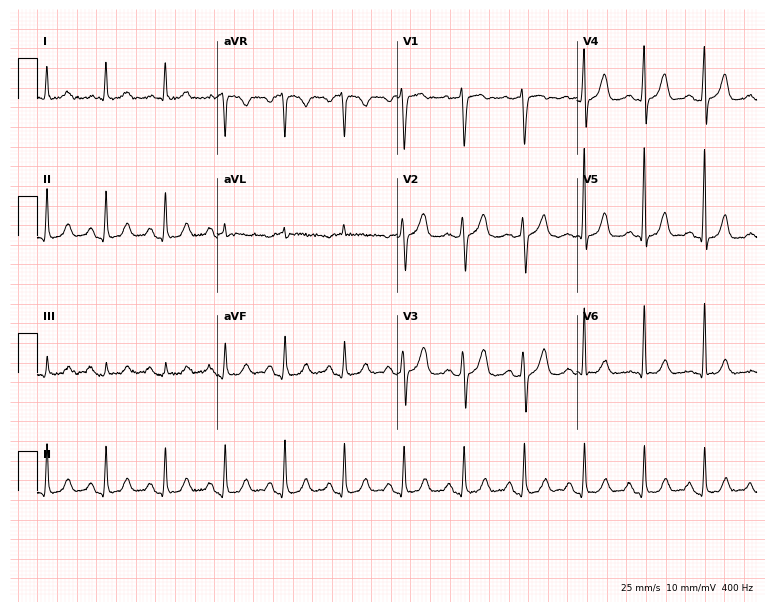
Standard 12-lead ECG recorded from a 68-year-old male patient. None of these six findings is recorded: first-degree AV block, right bundle branch block, left bundle branch block, sinus bradycardia, atrial fibrillation, sinus tachycardia.